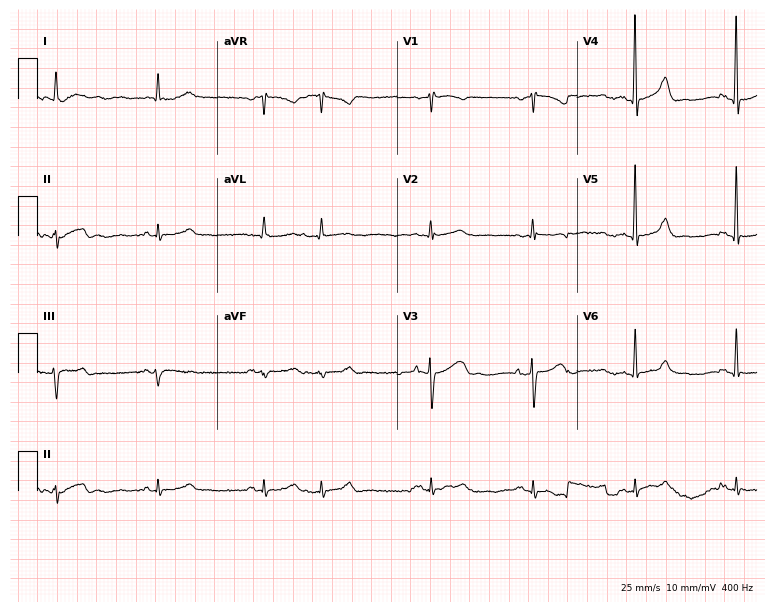
Electrocardiogram, an 80-year-old man. Of the six screened findings (first-degree AV block, right bundle branch block, left bundle branch block, sinus bradycardia, atrial fibrillation, sinus tachycardia), none is recorded.